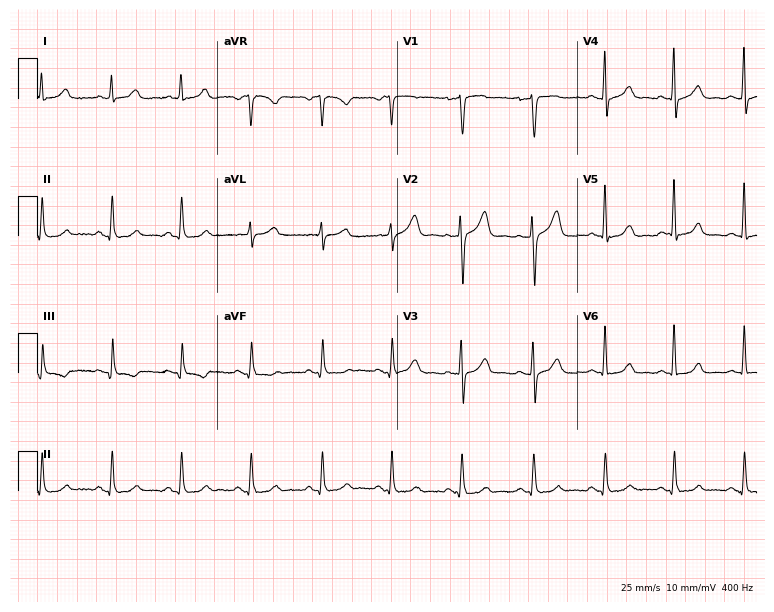
12-lead ECG from a 54-year-old man. Screened for six findings — first-degree AV block, right bundle branch block, left bundle branch block, sinus bradycardia, atrial fibrillation, sinus tachycardia — none is recorded.